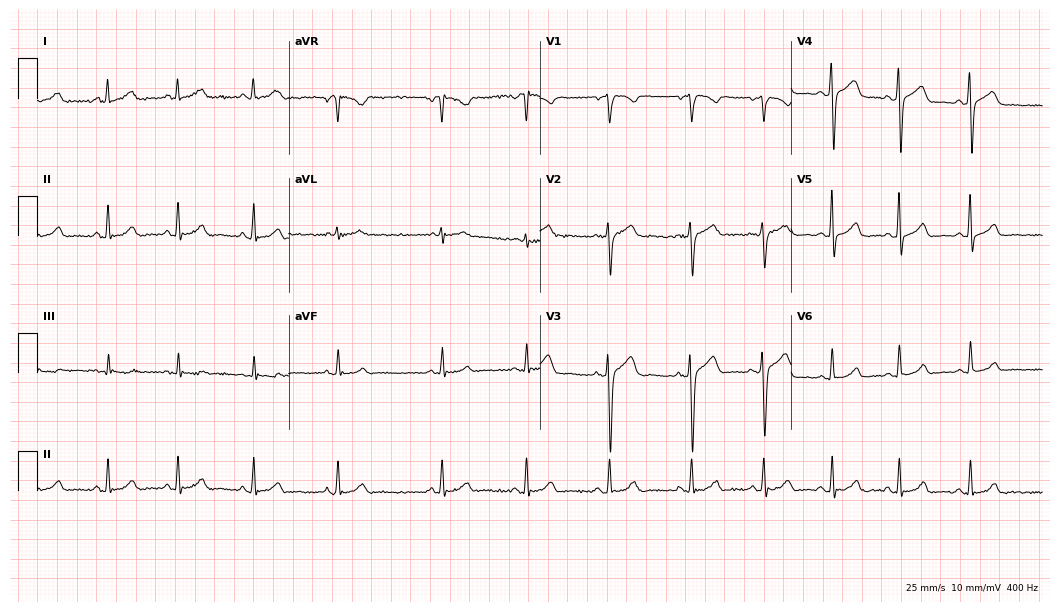
Standard 12-lead ECG recorded from a 36-year-old female. None of these six findings is recorded: first-degree AV block, right bundle branch block, left bundle branch block, sinus bradycardia, atrial fibrillation, sinus tachycardia.